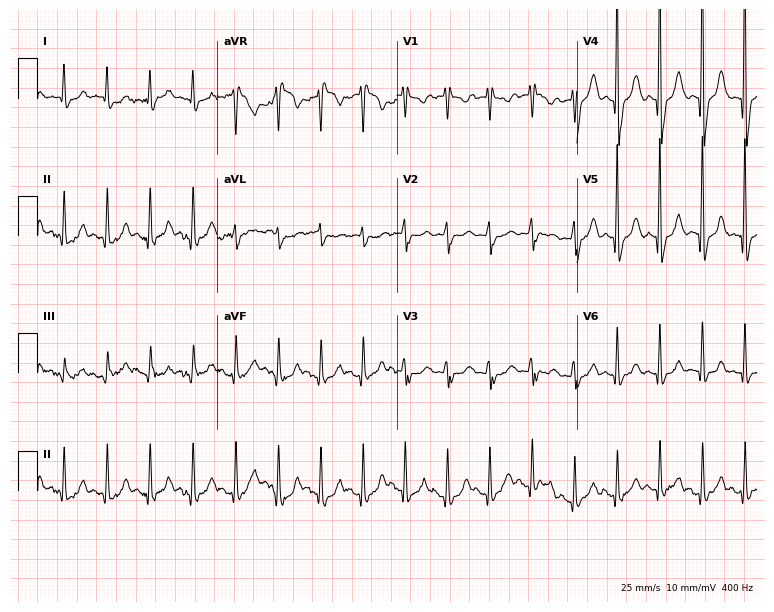
Standard 12-lead ECG recorded from a 79-year-old woman. The tracing shows sinus tachycardia (a sinus rate of 100 beats per minute or more).